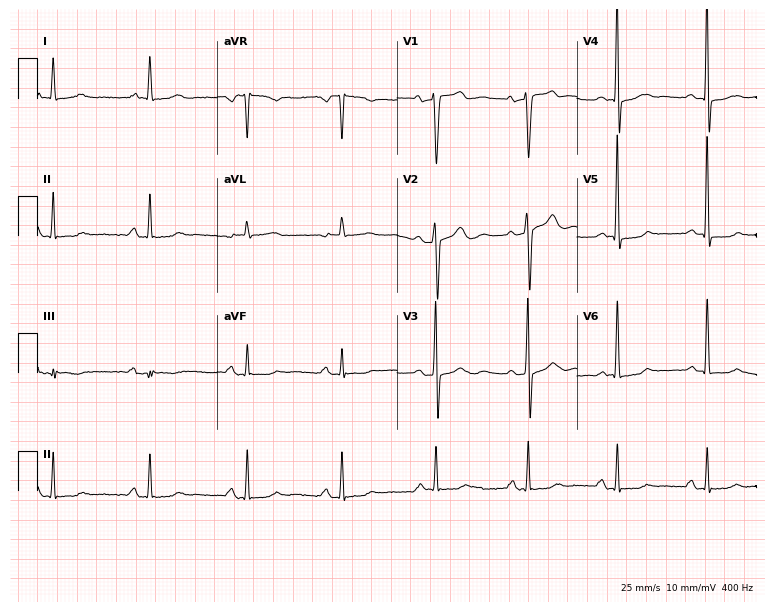
Standard 12-lead ECG recorded from a 76-year-old male (7.3-second recording at 400 Hz). None of these six findings is recorded: first-degree AV block, right bundle branch block, left bundle branch block, sinus bradycardia, atrial fibrillation, sinus tachycardia. Findings outside these six are not listed.